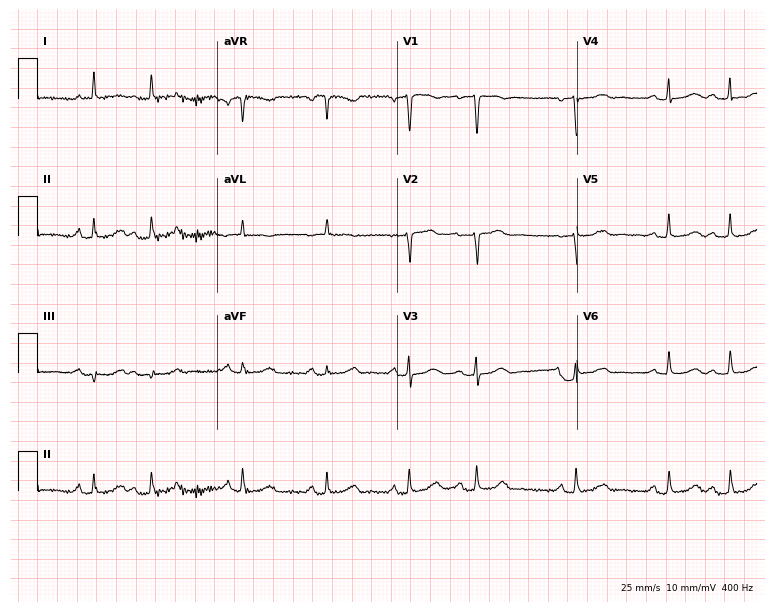
Standard 12-lead ECG recorded from a woman, 84 years old (7.3-second recording at 400 Hz). None of these six findings is recorded: first-degree AV block, right bundle branch block, left bundle branch block, sinus bradycardia, atrial fibrillation, sinus tachycardia. Findings outside these six are not listed.